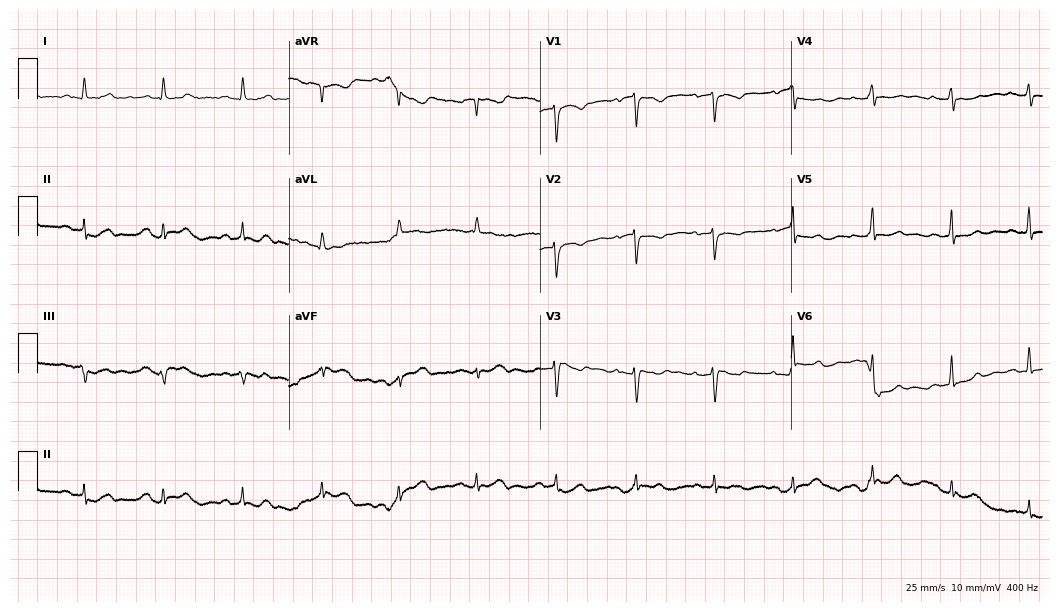
Standard 12-lead ECG recorded from a female, 75 years old. None of these six findings is recorded: first-degree AV block, right bundle branch block (RBBB), left bundle branch block (LBBB), sinus bradycardia, atrial fibrillation (AF), sinus tachycardia.